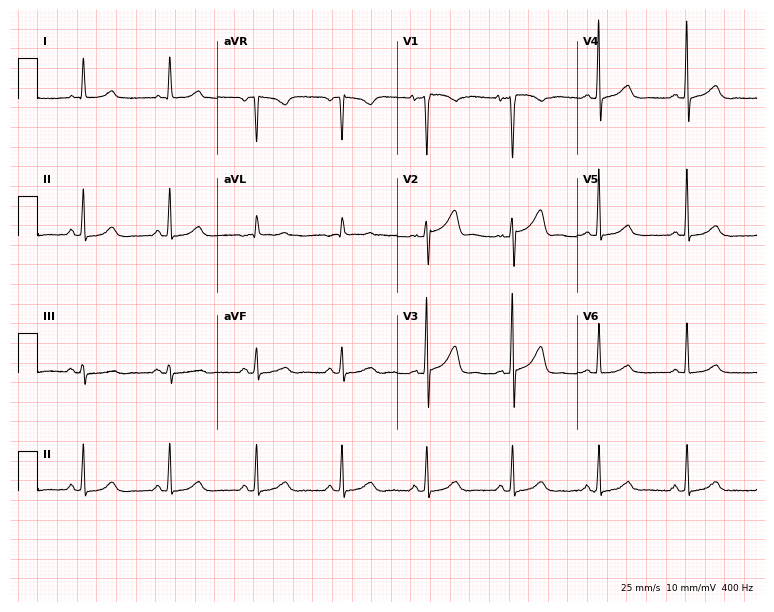
12-lead ECG from a female patient, 84 years old (7.3-second recording at 400 Hz). No first-degree AV block, right bundle branch block (RBBB), left bundle branch block (LBBB), sinus bradycardia, atrial fibrillation (AF) or sinus tachycardia recorded for this tracing. Findings outside these six are not listed.